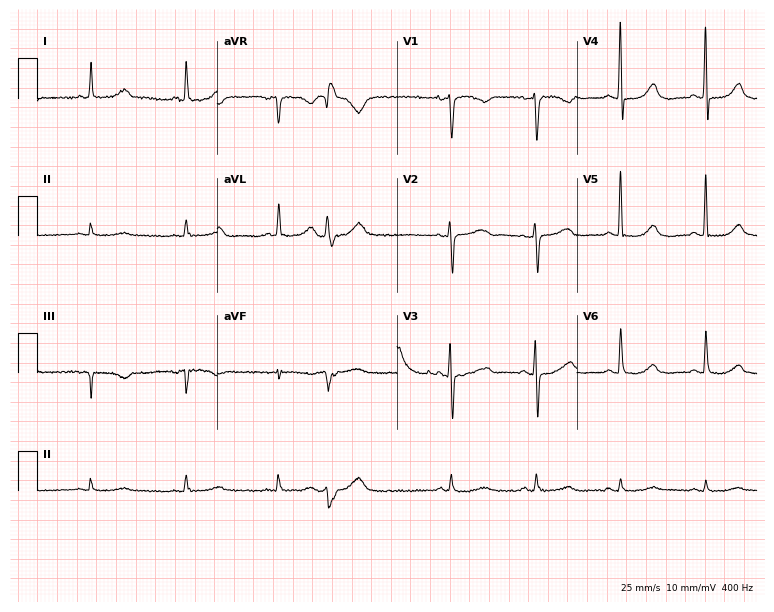
12-lead ECG (7.3-second recording at 400 Hz) from a female, 66 years old. Screened for six findings — first-degree AV block, right bundle branch block, left bundle branch block, sinus bradycardia, atrial fibrillation, sinus tachycardia — none is recorded.